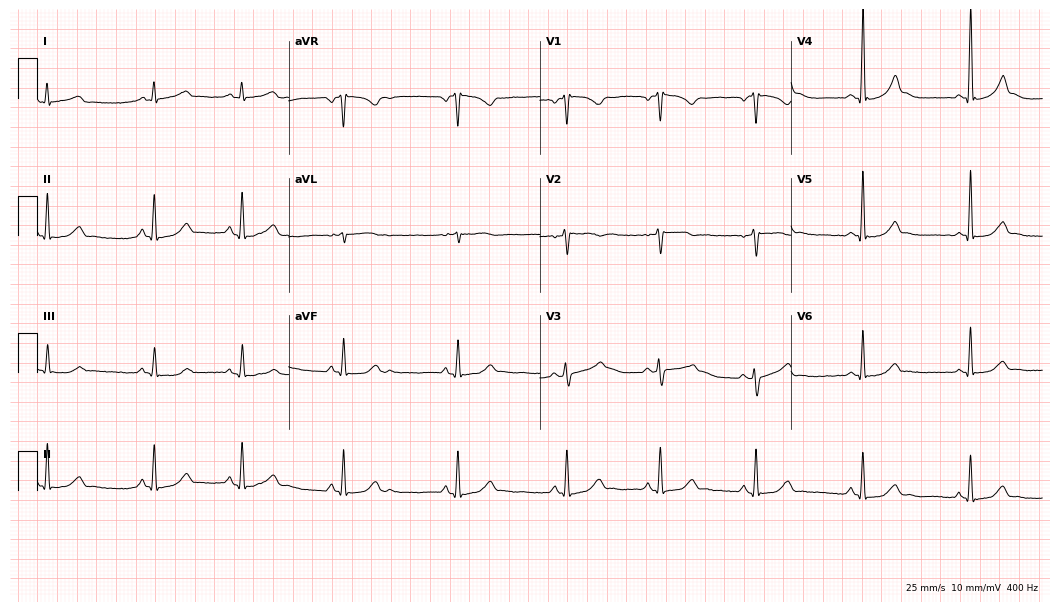
12-lead ECG from a 29-year-old female patient. Labelled as a normal ECG.